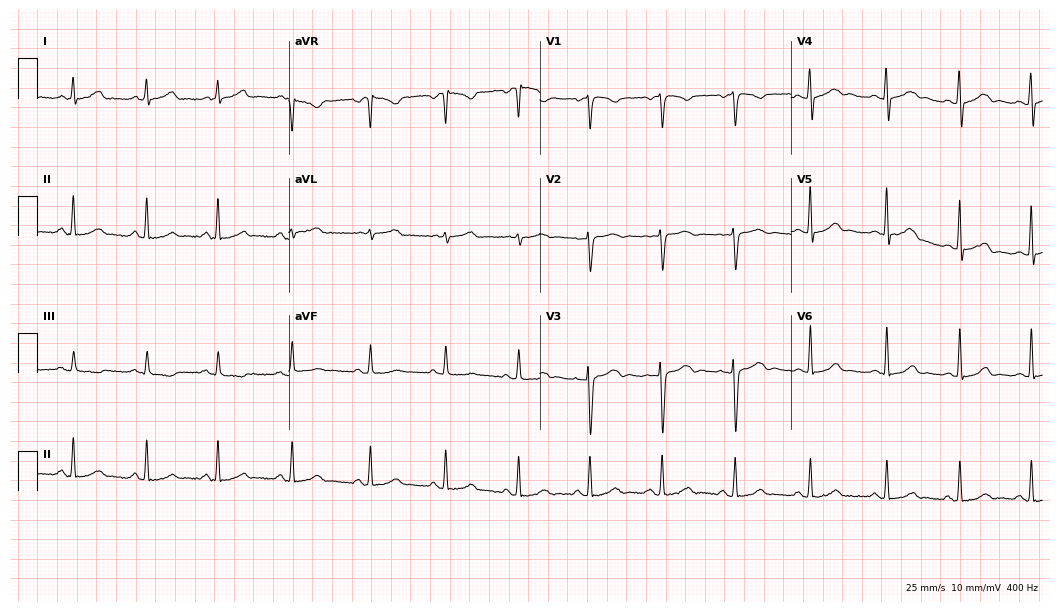
12-lead ECG from a 26-year-old female patient. Recorded interpretation: within normal limits.